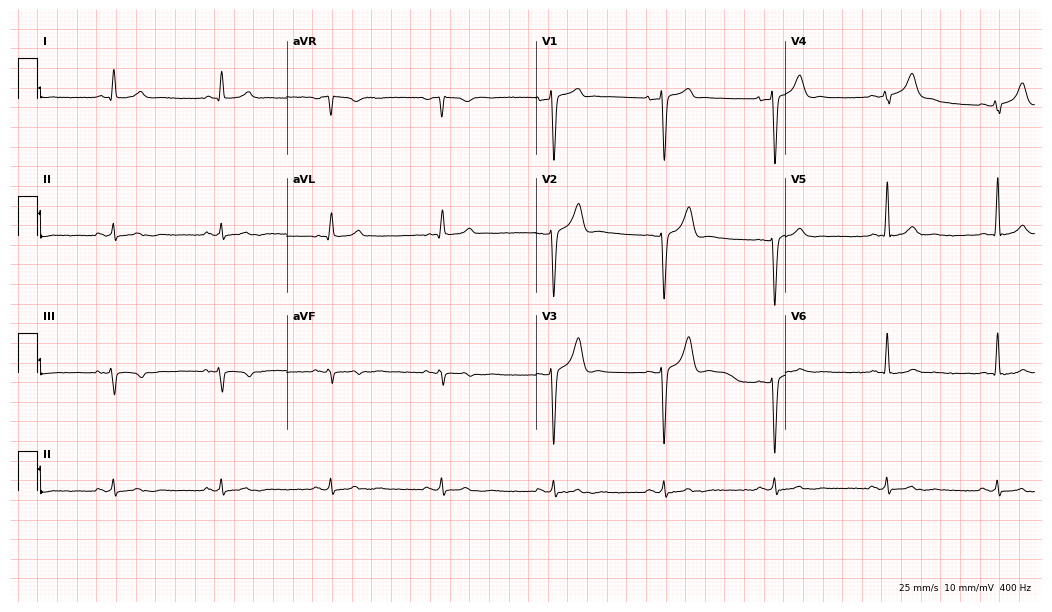
Electrocardiogram (10.2-second recording at 400 Hz), a male patient, 56 years old. Of the six screened findings (first-degree AV block, right bundle branch block (RBBB), left bundle branch block (LBBB), sinus bradycardia, atrial fibrillation (AF), sinus tachycardia), none is recorded. Findings outside these six are not listed.